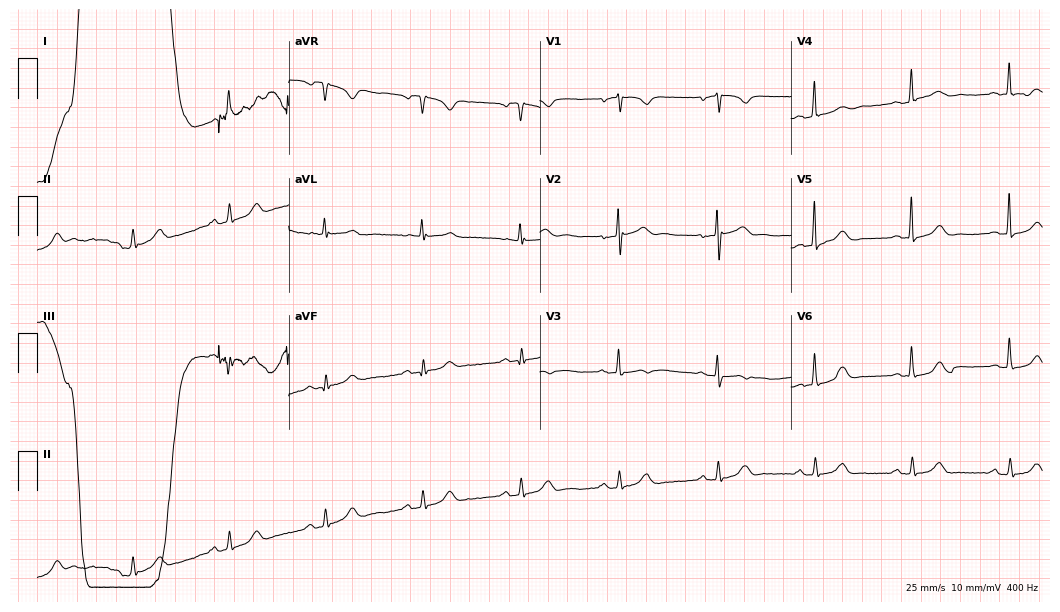
Standard 12-lead ECG recorded from a female patient, 67 years old. Read as a normal ECG.